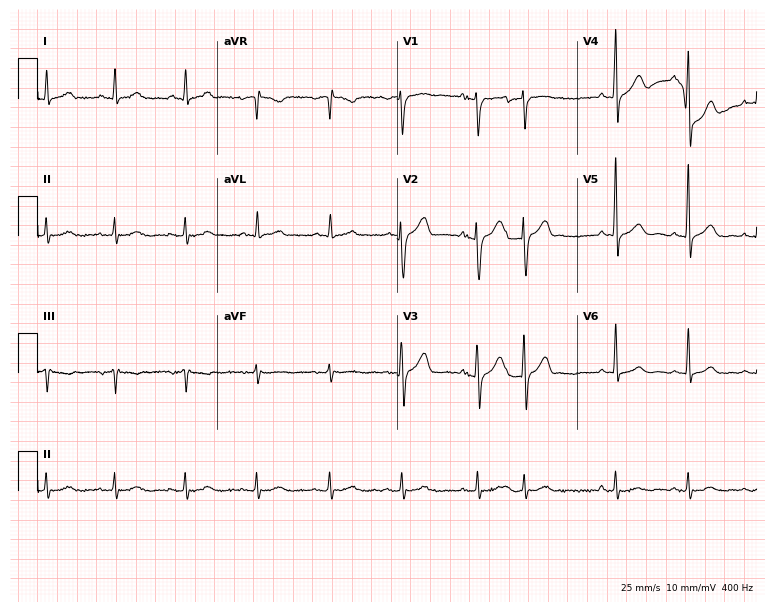
12-lead ECG from a male patient, 67 years old. No first-degree AV block, right bundle branch block, left bundle branch block, sinus bradycardia, atrial fibrillation or sinus tachycardia recorded for this tracing. Findings outside these six are not listed.